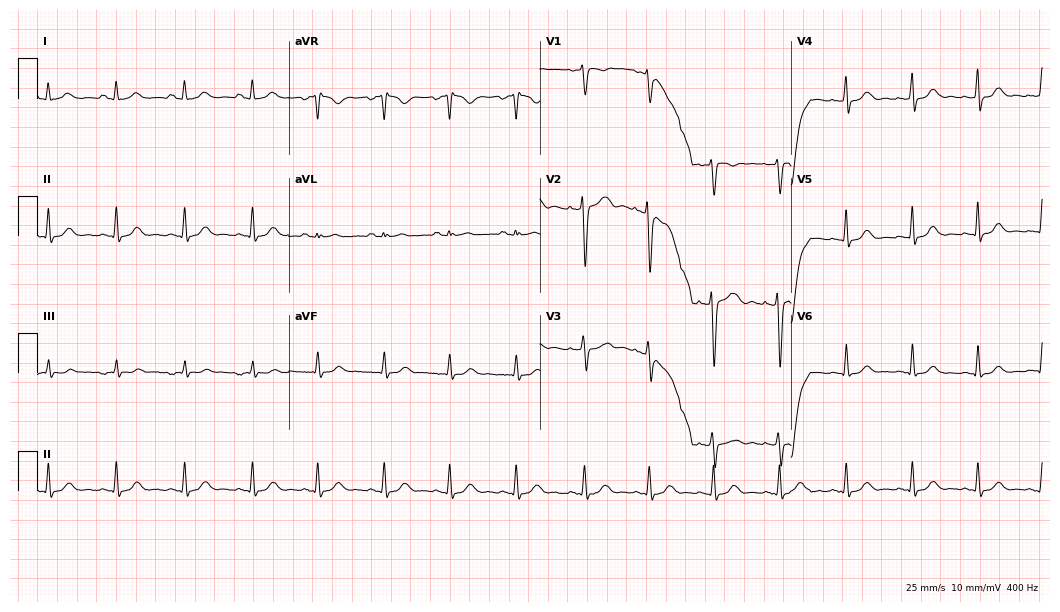
12-lead ECG from a woman, 29 years old. No first-degree AV block, right bundle branch block (RBBB), left bundle branch block (LBBB), sinus bradycardia, atrial fibrillation (AF) or sinus tachycardia recorded for this tracing.